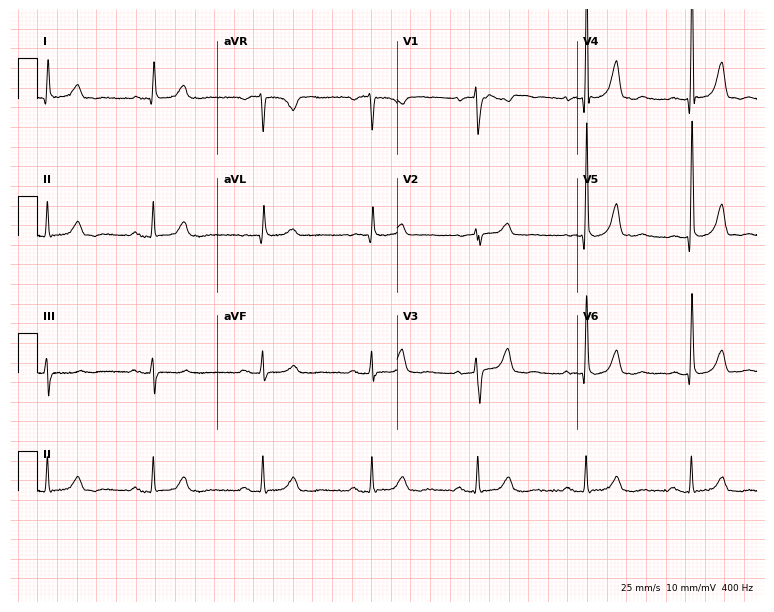
Resting 12-lead electrocardiogram. Patient: a female, 76 years old. Read as a normal ECG.